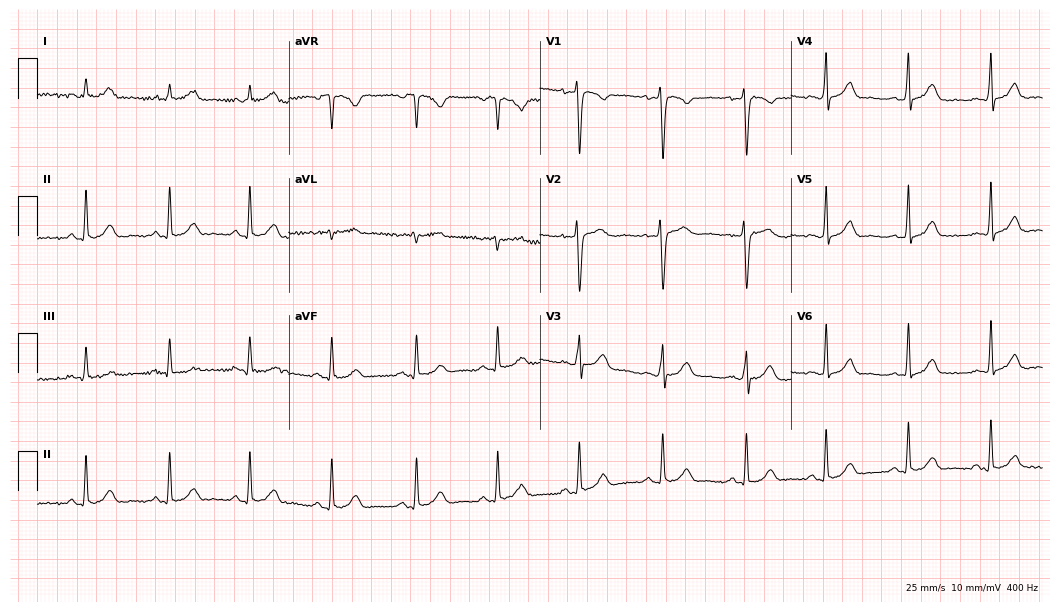
Resting 12-lead electrocardiogram (10.2-second recording at 400 Hz). Patient: a female, 33 years old. Read as a normal ECG.